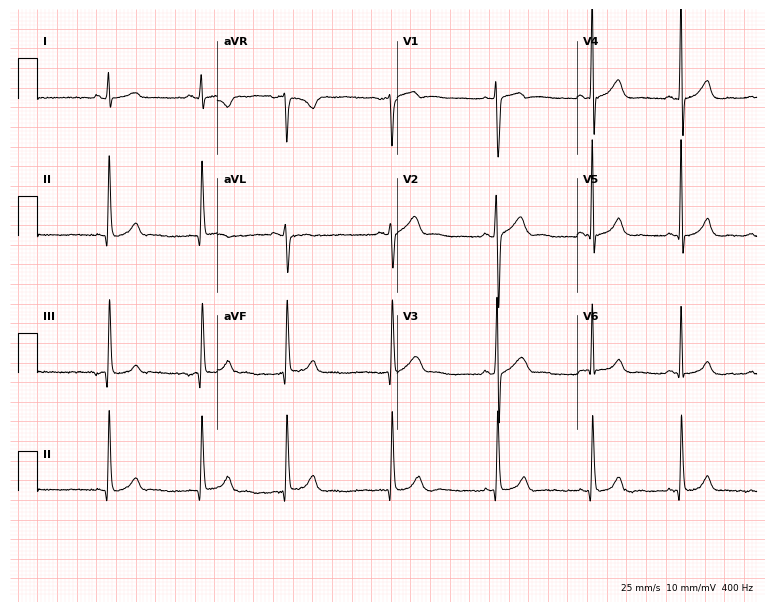
Resting 12-lead electrocardiogram. Patient: a male, 51 years old. None of these six findings is recorded: first-degree AV block, right bundle branch block, left bundle branch block, sinus bradycardia, atrial fibrillation, sinus tachycardia.